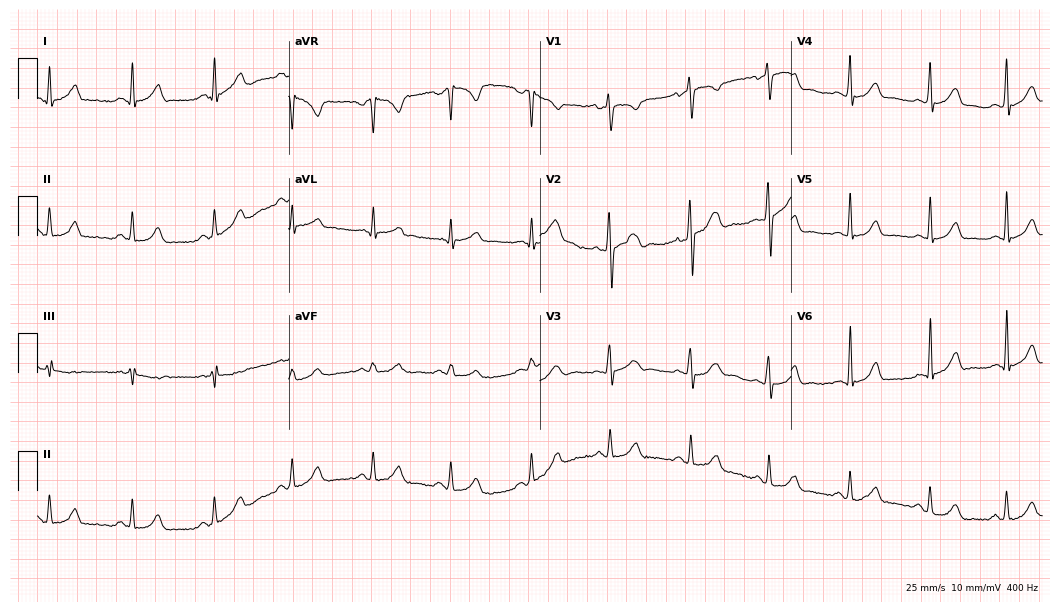
Electrocardiogram (10.2-second recording at 400 Hz), a 38-year-old woman. Overall reading on record: normal ECG.